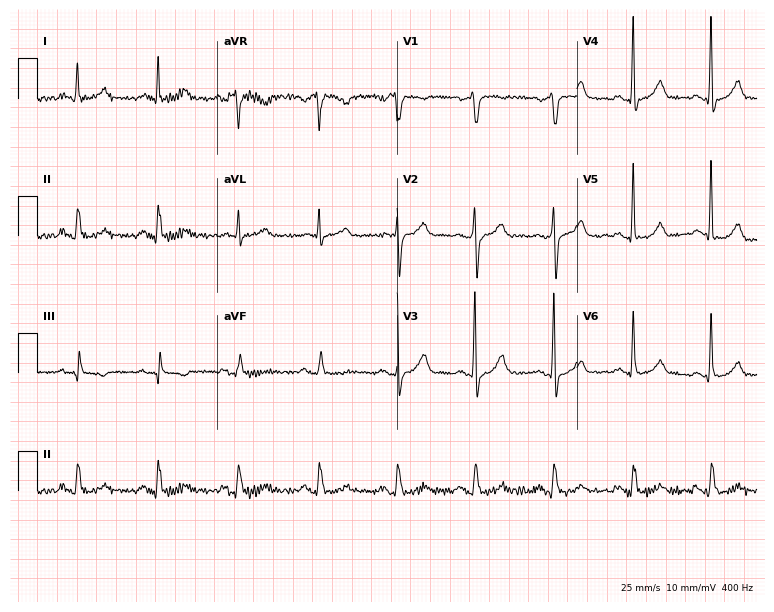
Resting 12-lead electrocardiogram (7.3-second recording at 400 Hz). Patient: a 50-year-old man. None of these six findings is recorded: first-degree AV block, right bundle branch block, left bundle branch block, sinus bradycardia, atrial fibrillation, sinus tachycardia. Other findings, if any, are not listed.